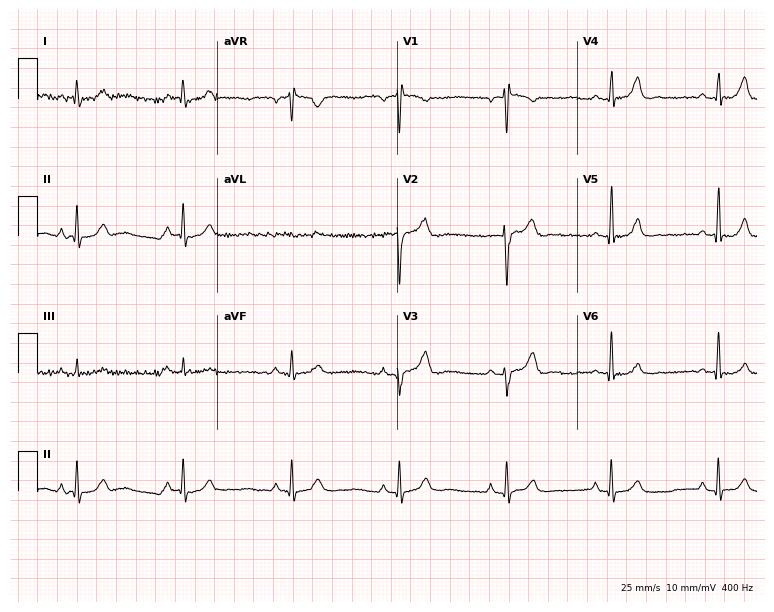
Electrocardiogram, a man, 34 years old. Overall reading on record: normal ECG.